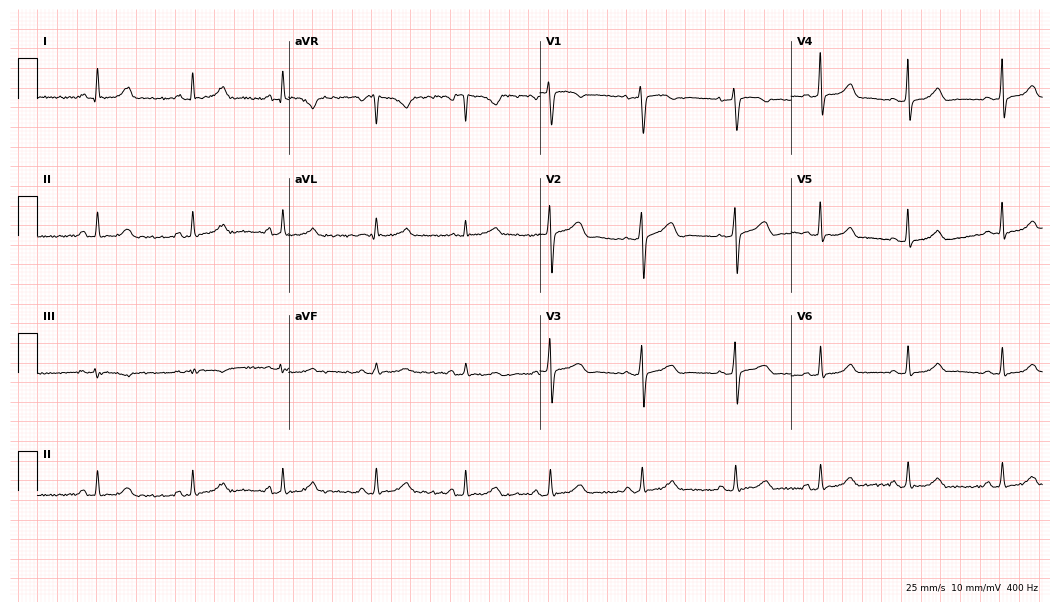
12-lead ECG (10.2-second recording at 400 Hz) from a female, 34 years old. Labelled as a normal ECG.